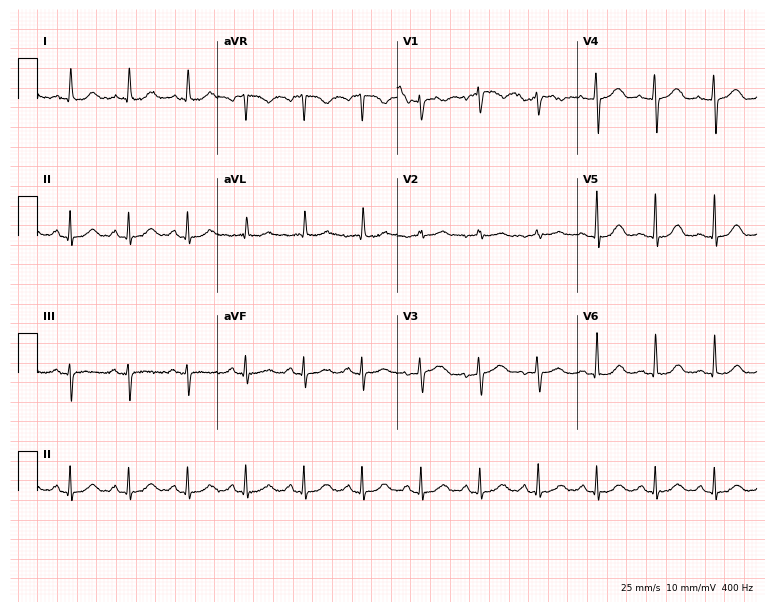
ECG — a female, 67 years old. Labelled as a normal ECG.